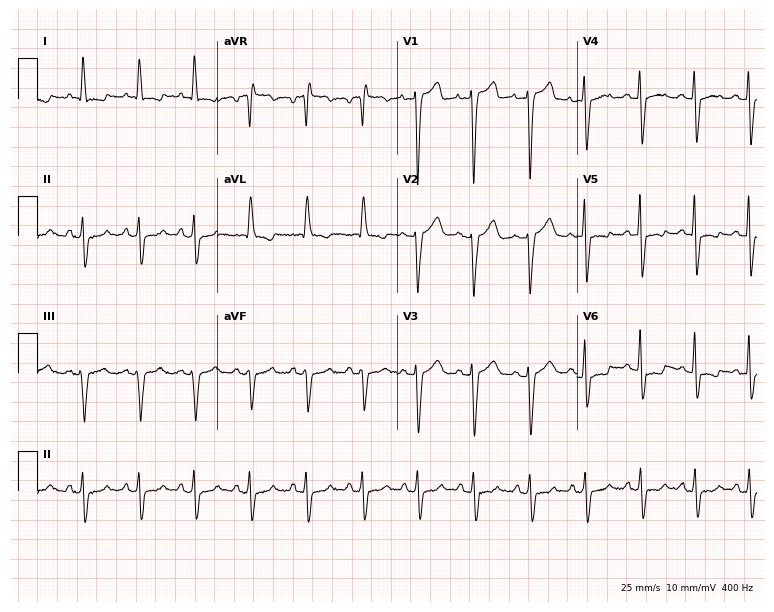
12-lead ECG from a woman, 85 years old. Findings include sinus tachycardia (a sinus rate of 100 beats per minute or more).